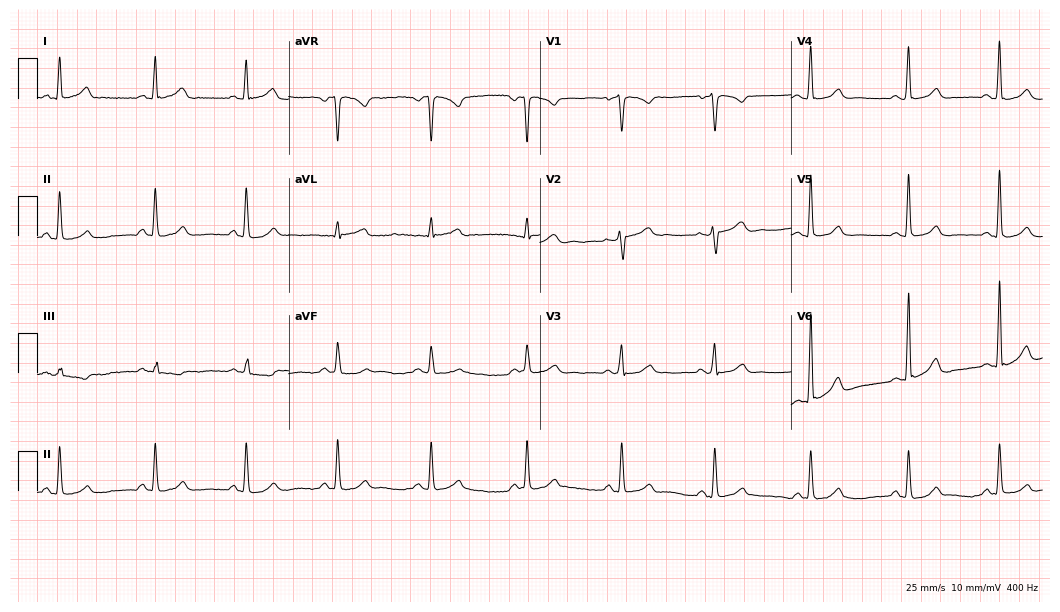
Standard 12-lead ECG recorded from a 41-year-old female patient. Read as a normal ECG.